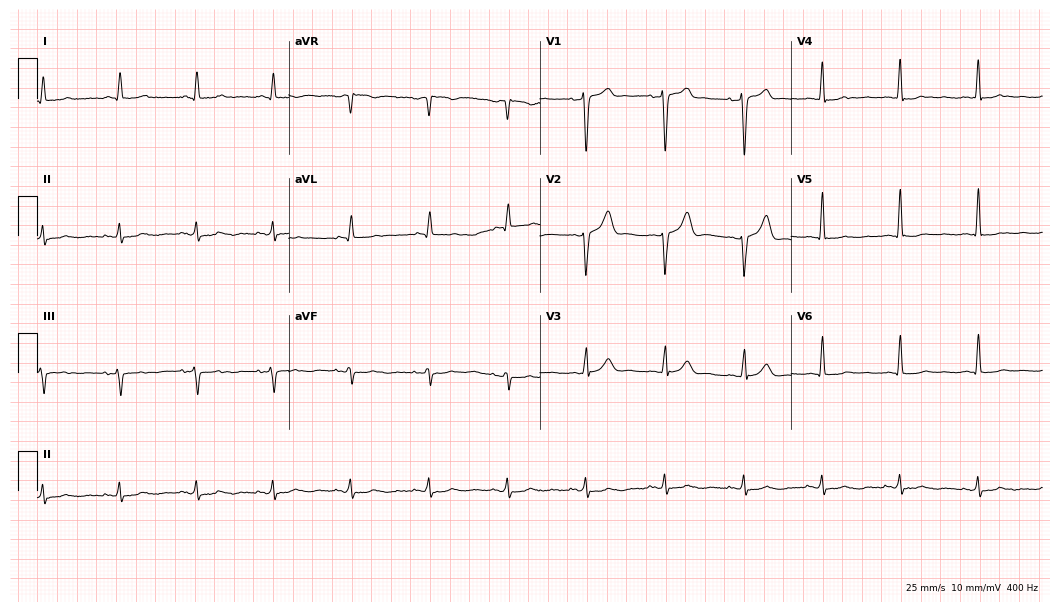
12-lead ECG (10.2-second recording at 400 Hz) from a male, 57 years old. Screened for six findings — first-degree AV block, right bundle branch block, left bundle branch block, sinus bradycardia, atrial fibrillation, sinus tachycardia — none is recorded.